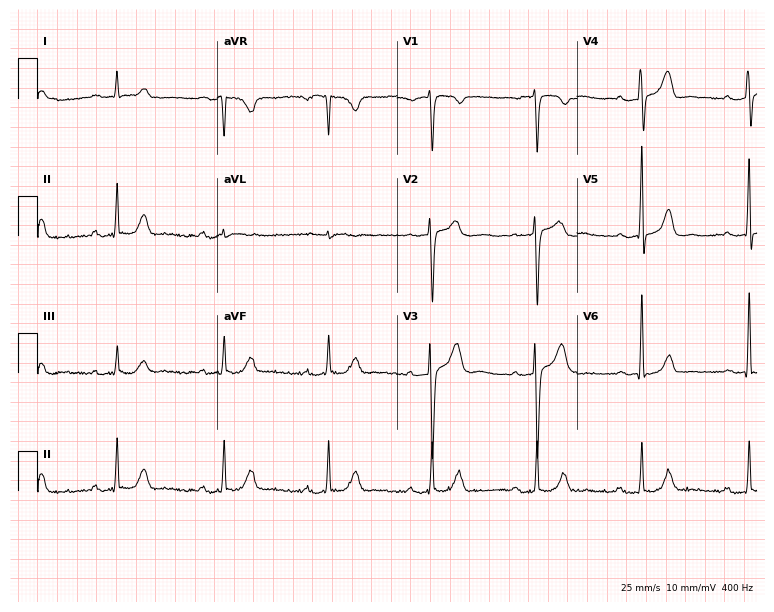
Standard 12-lead ECG recorded from a man, 50 years old. The tracing shows first-degree AV block.